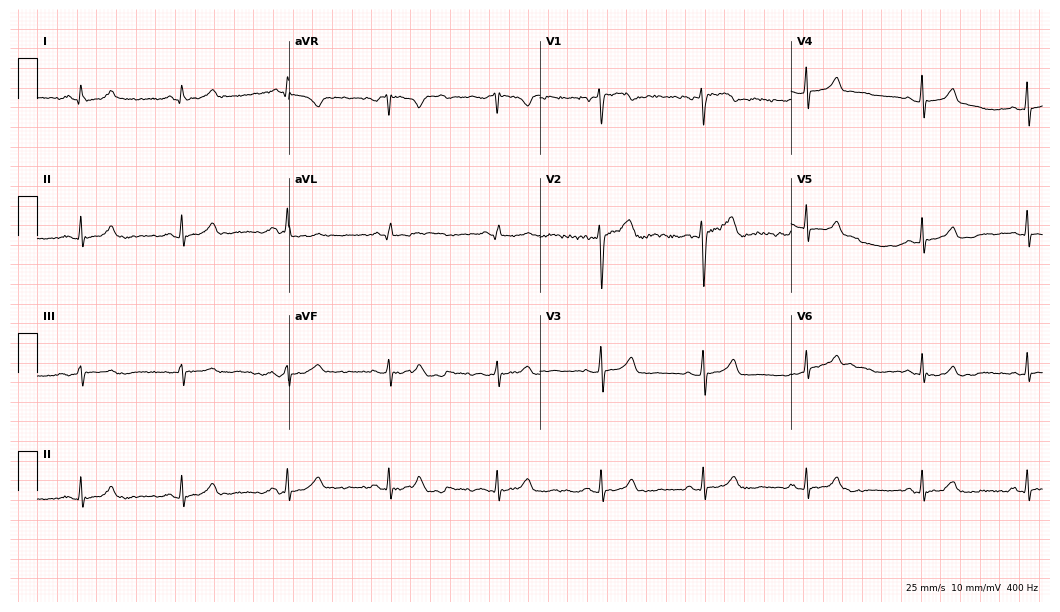
12-lead ECG (10.2-second recording at 400 Hz) from a woman, 34 years old. Labelled as a normal ECG.